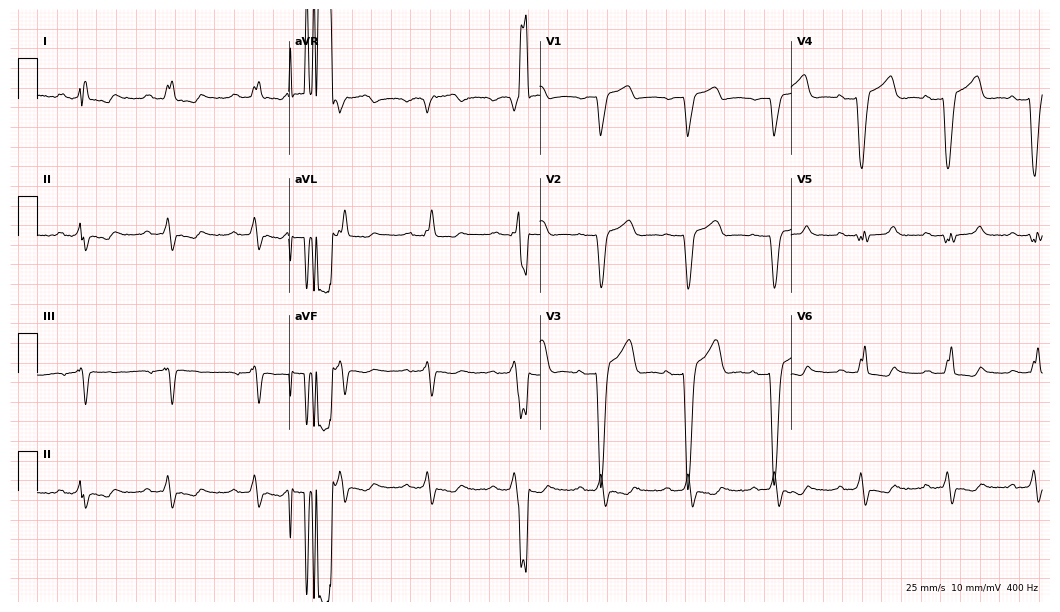
12-lead ECG from a 68-year-old male. Shows left bundle branch block.